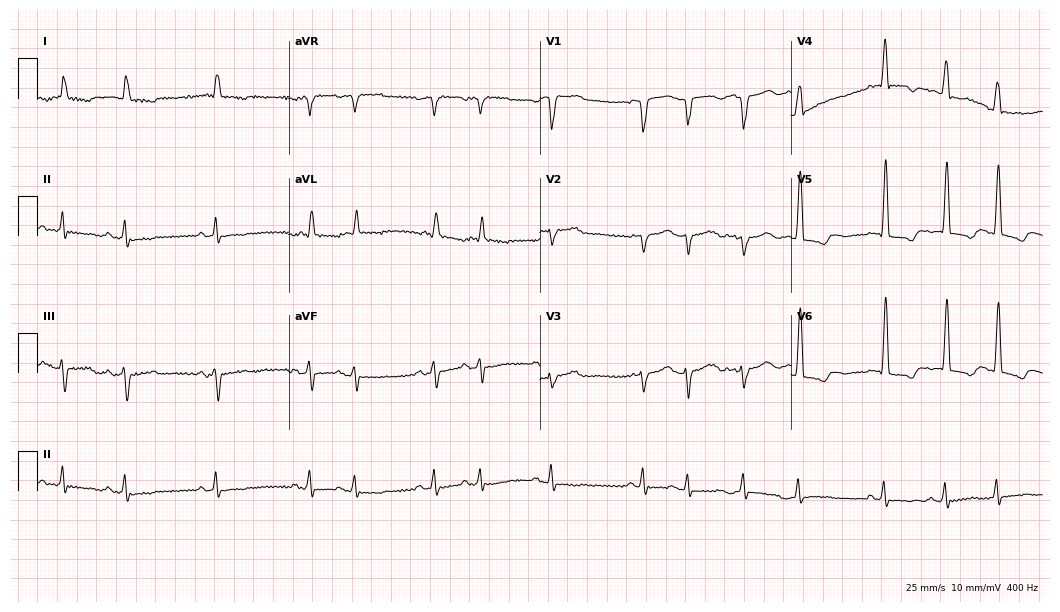
ECG (10.2-second recording at 400 Hz) — an 82-year-old male. Labelled as a normal ECG.